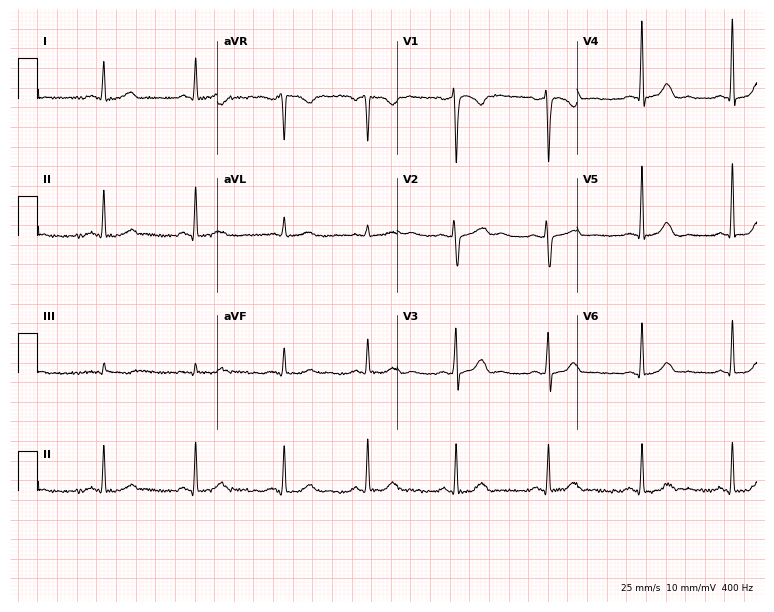
12-lead ECG from a 45-year-old woman (7.3-second recording at 400 Hz). Recorded interpretation: within normal limits.